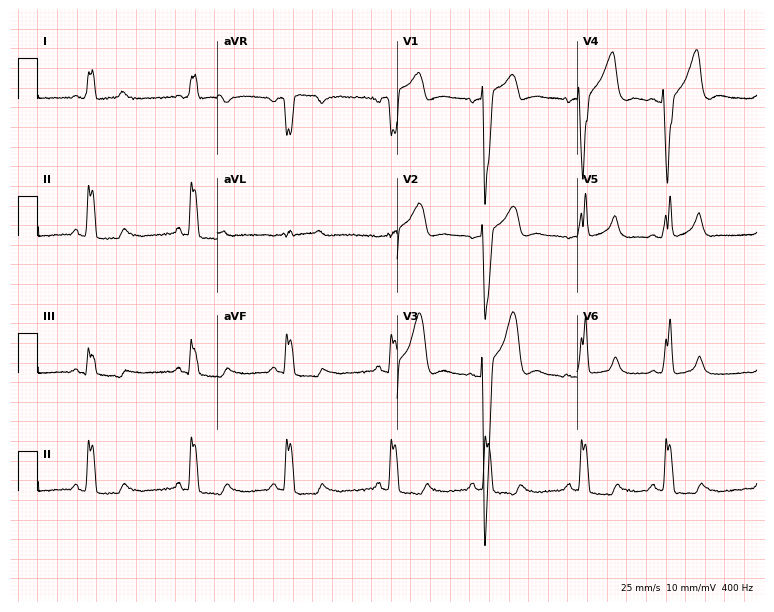
Electrocardiogram, a male patient, 77 years old. Interpretation includes left bundle branch block.